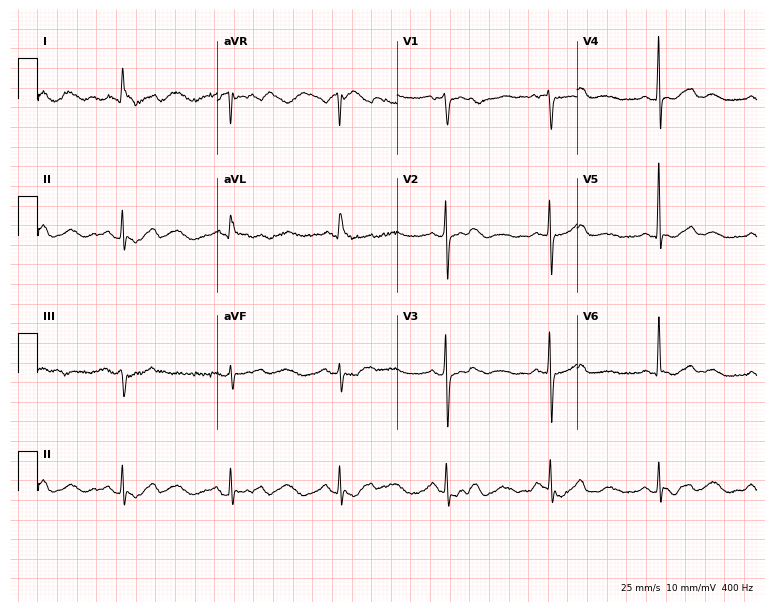
Resting 12-lead electrocardiogram (7.3-second recording at 400 Hz). Patient: a 72-year-old woman. None of these six findings is recorded: first-degree AV block, right bundle branch block, left bundle branch block, sinus bradycardia, atrial fibrillation, sinus tachycardia.